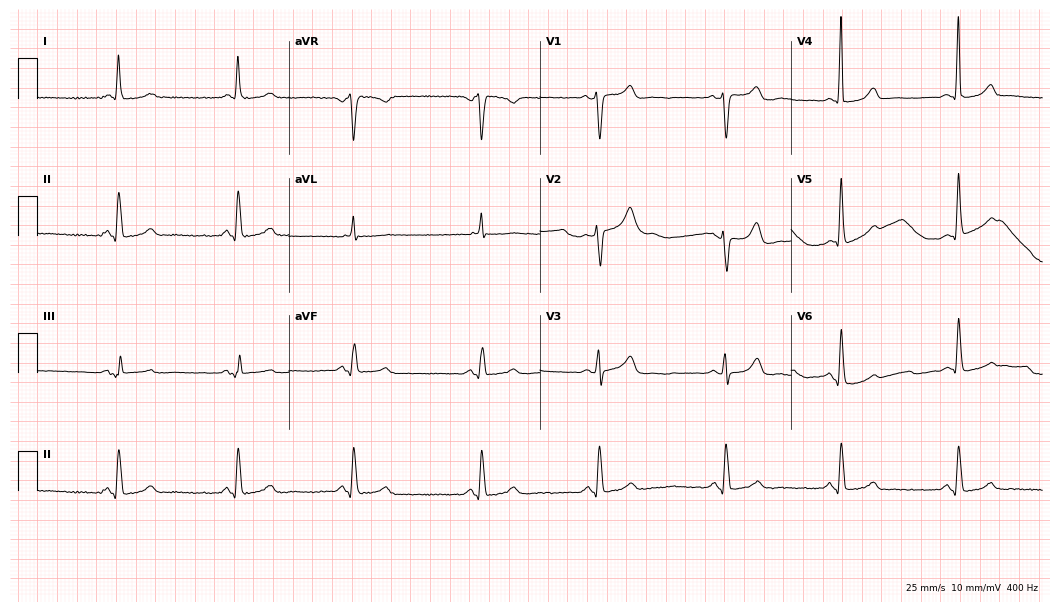
12-lead ECG (10.2-second recording at 400 Hz) from a 72-year-old female patient. Screened for six findings — first-degree AV block, right bundle branch block, left bundle branch block, sinus bradycardia, atrial fibrillation, sinus tachycardia — none is recorded. Only these six findings were labelled.